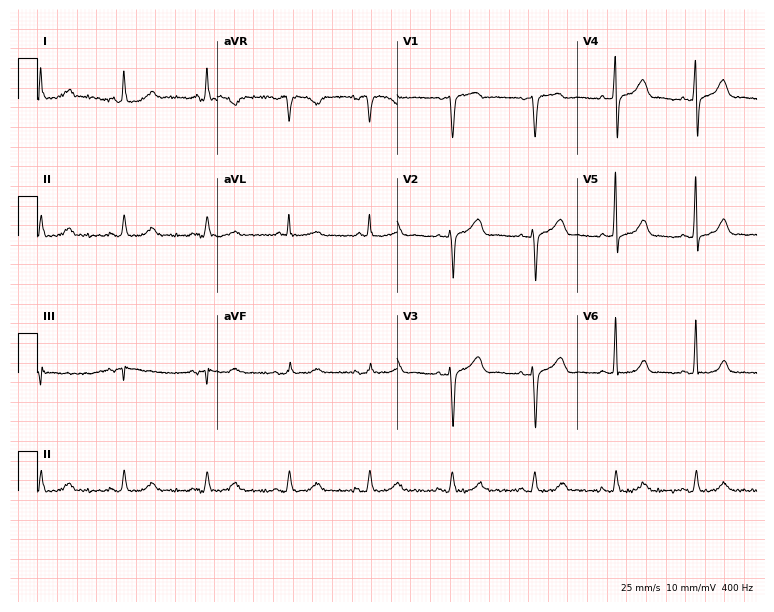
Electrocardiogram (7.3-second recording at 400 Hz), a female patient, 71 years old. Of the six screened findings (first-degree AV block, right bundle branch block, left bundle branch block, sinus bradycardia, atrial fibrillation, sinus tachycardia), none is recorded. Other findings, if any, are not listed.